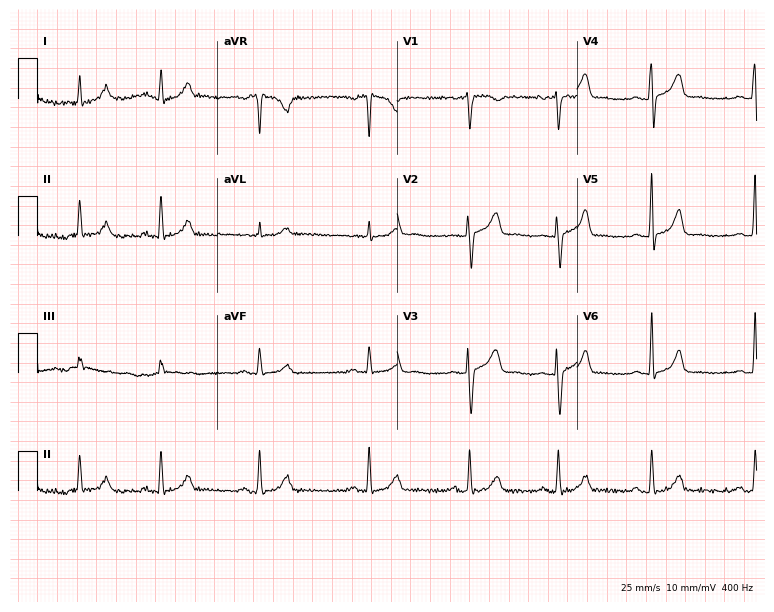
12-lead ECG from a woman, 34 years old. Screened for six findings — first-degree AV block, right bundle branch block, left bundle branch block, sinus bradycardia, atrial fibrillation, sinus tachycardia — none is recorded.